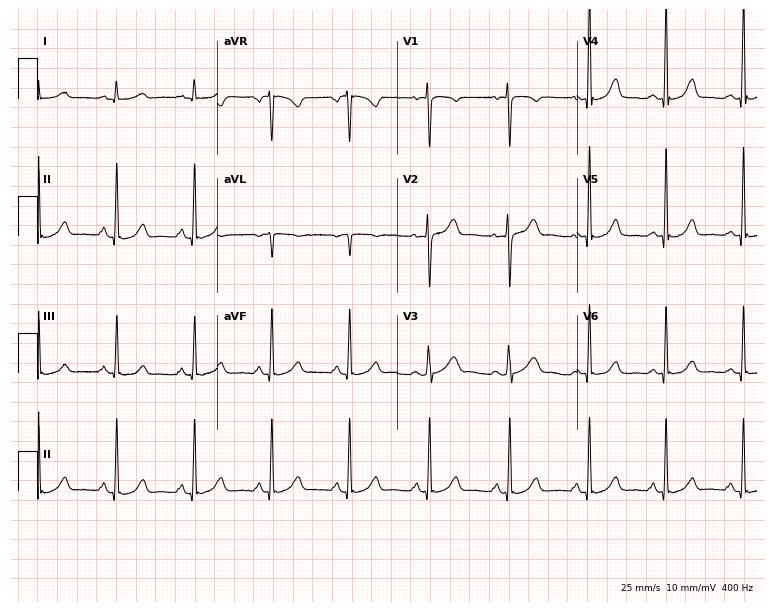
Standard 12-lead ECG recorded from a 33-year-old female patient. Read as a normal ECG.